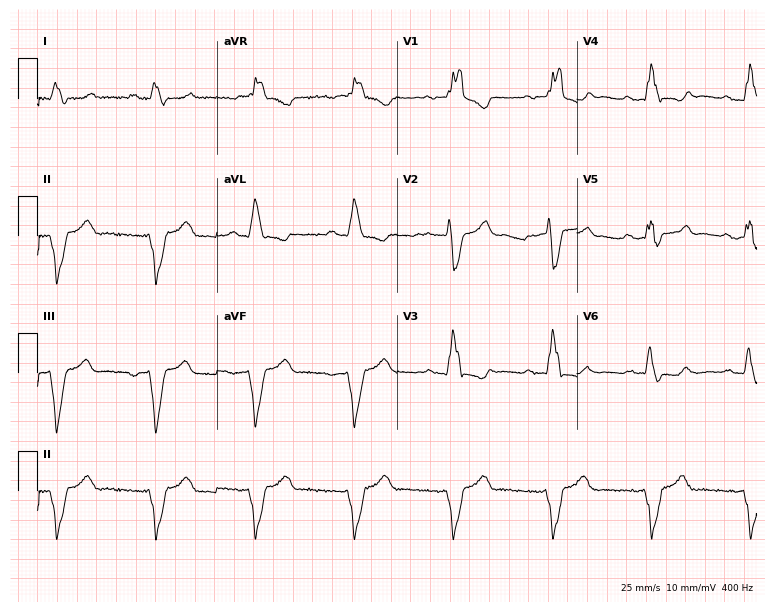
ECG — a male patient, 45 years old. Findings include right bundle branch block (RBBB).